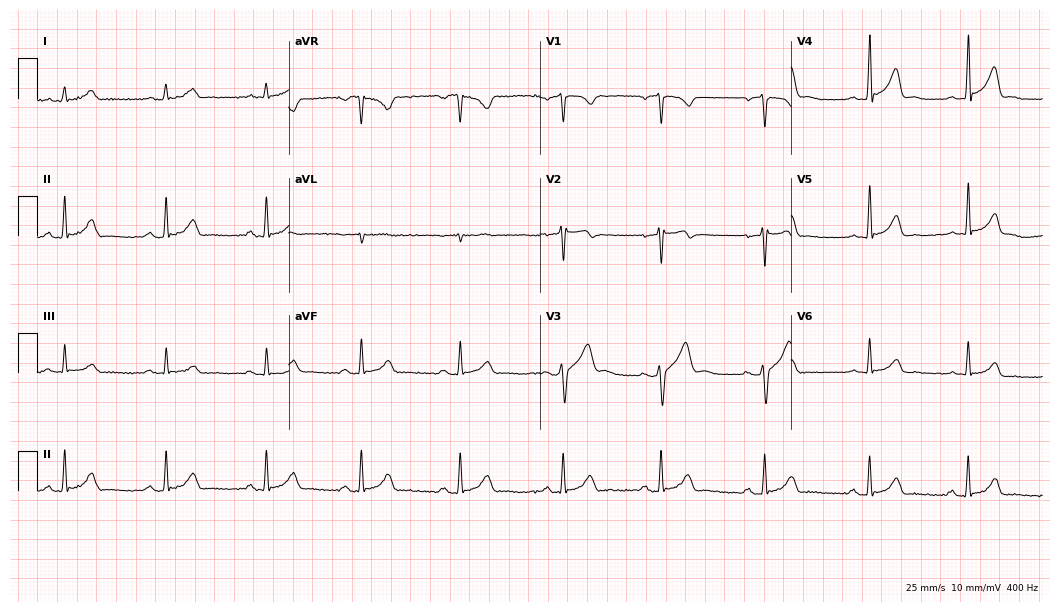
Standard 12-lead ECG recorded from a 35-year-old man (10.2-second recording at 400 Hz). Read as a normal ECG.